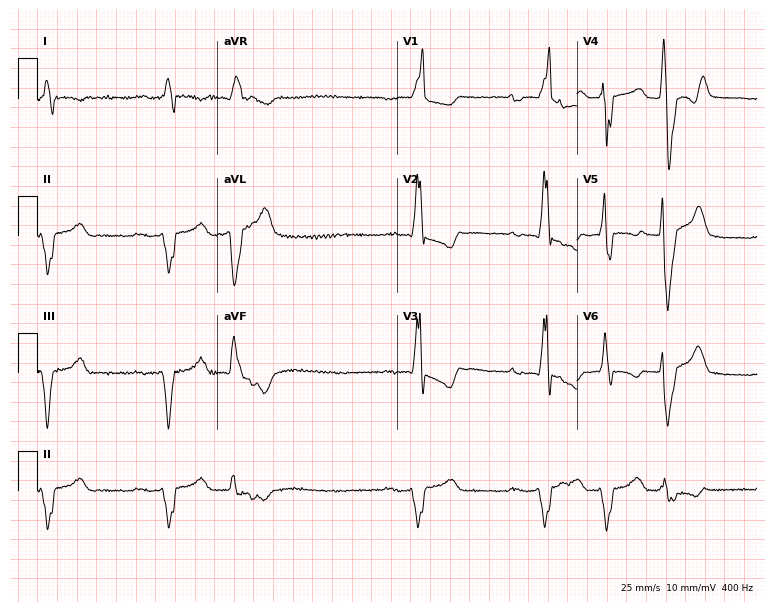
12-lead ECG from a male patient, 75 years old. Findings include first-degree AV block, right bundle branch block (RBBB).